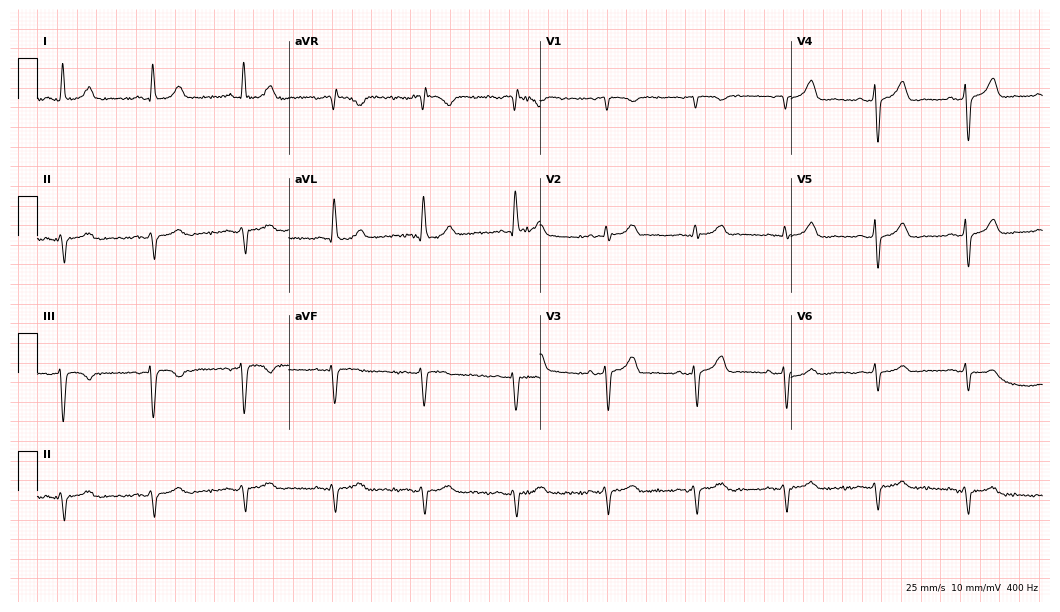
ECG (10.2-second recording at 400 Hz) — a 68-year-old female. Screened for six findings — first-degree AV block, right bundle branch block (RBBB), left bundle branch block (LBBB), sinus bradycardia, atrial fibrillation (AF), sinus tachycardia — none is recorded.